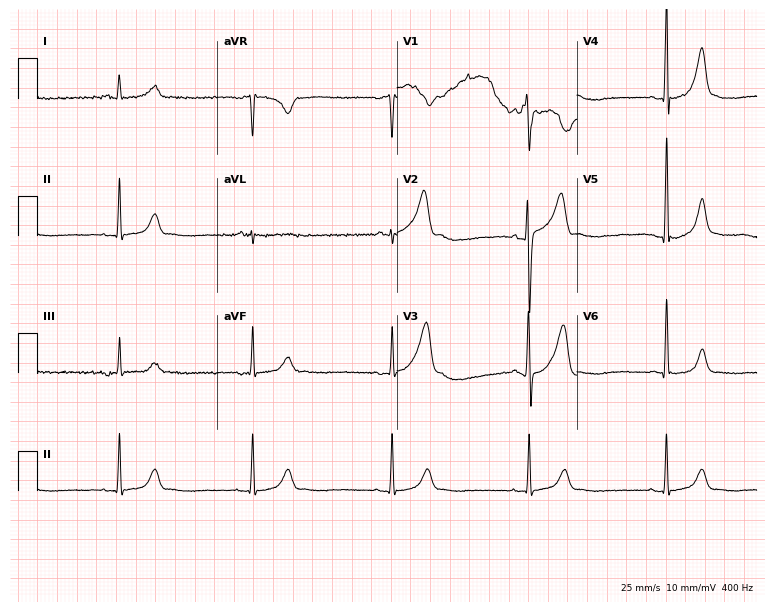
Standard 12-lead ECG recorded from a 36-year-old male patient (7.3-second recording at 400 Hz). The tracing shows sinus bradycardia (a sinus rate of 50 beats per minute or less).